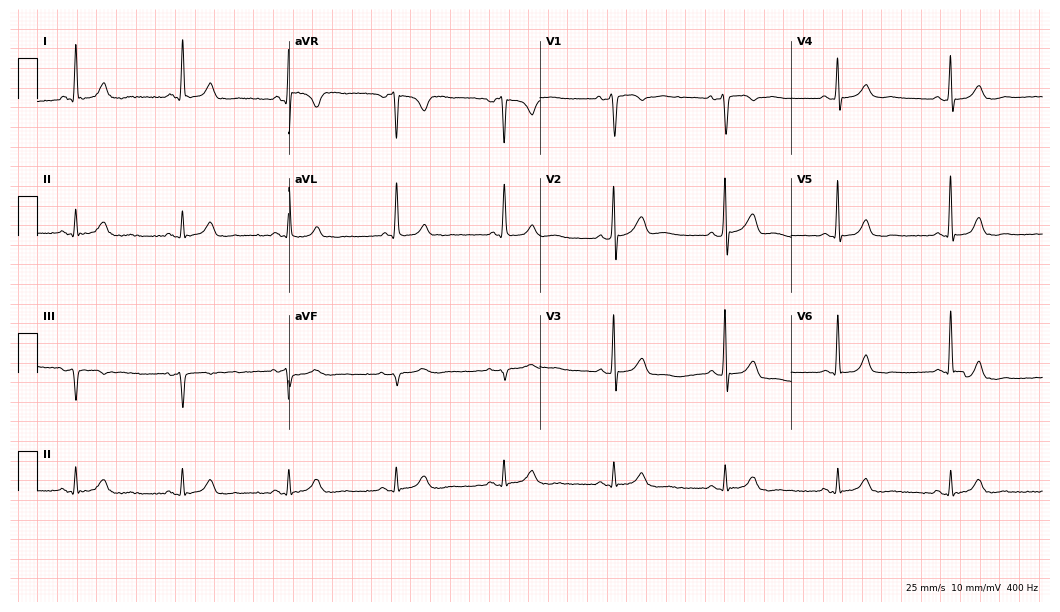
Resting 12-lead electrocardiogram. Patient: a male, 67 years old. None of these six findings is recorded: first-degree AV block, right bundle branch block (RBBB), left bundle branch block (LBBB), sinus bradycardia, atrial fibrillation (AF), sinus tachycardia. Only these six findings were labelled.